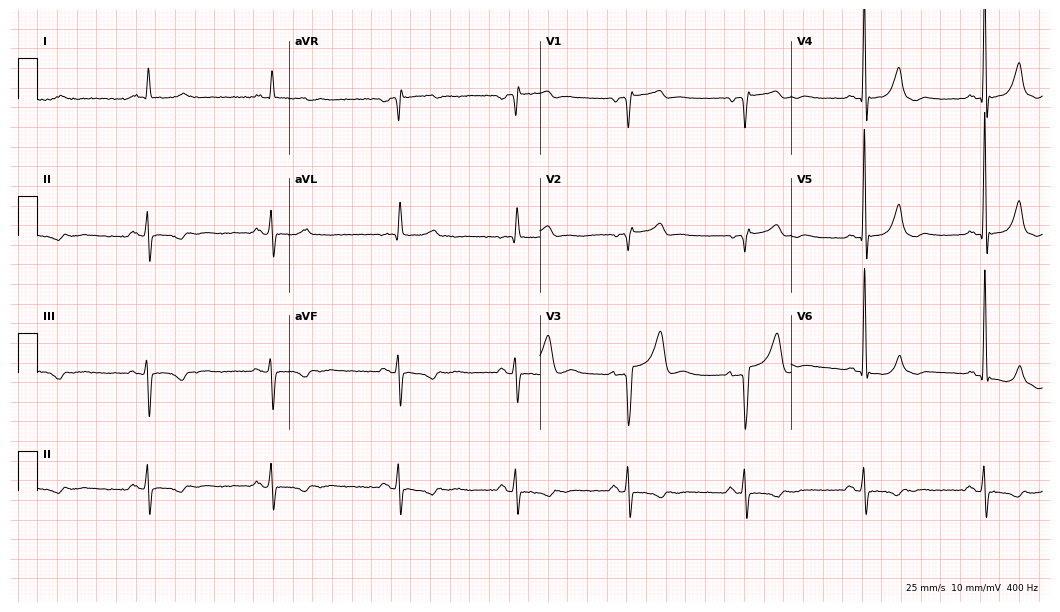
Standard 12-lead ECG recorded from a male patient, 68 years old (10.2-second recording at 400 Hz). None of these six findings is recorded: first-degree AV block, right bundle branch block (RBBB), left bundle branch block (LBBB), sinus bradycardia, atrial fibrillation (AF), sinus tachycardia.